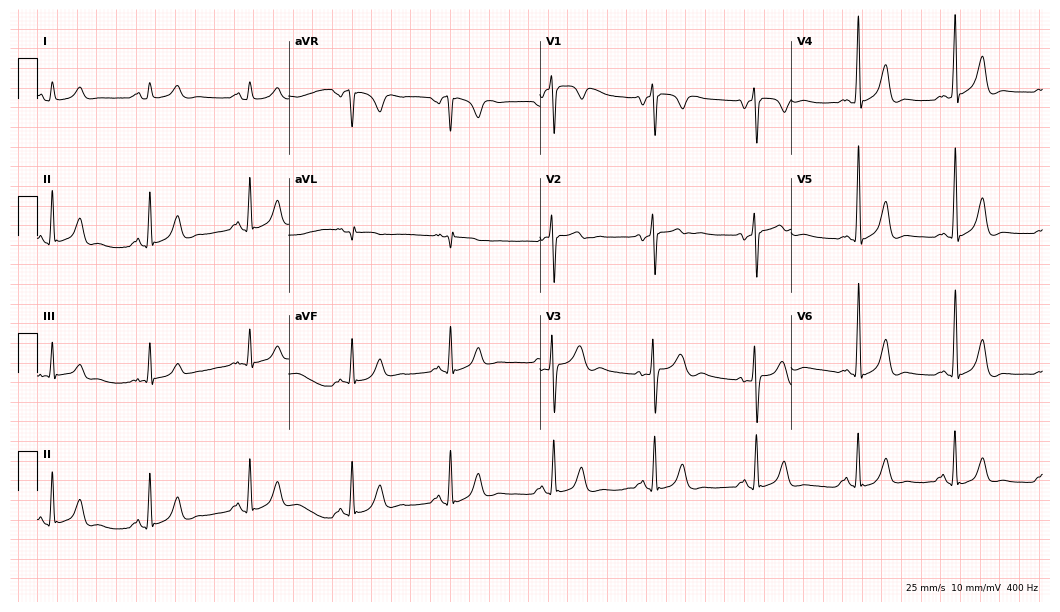
Resting 12-lead electrocardiogram (10.2-second recording at 400 Hz). Patient: a 49-year-old man. None of these six findings is recorded: first-degree AV block, right bundle branch block (RBBB), left bundle branch block (LBBB), sinus bradycardia, atrial fibrillation (AF), sinus tachycardia. Findings outside these six are not listed.